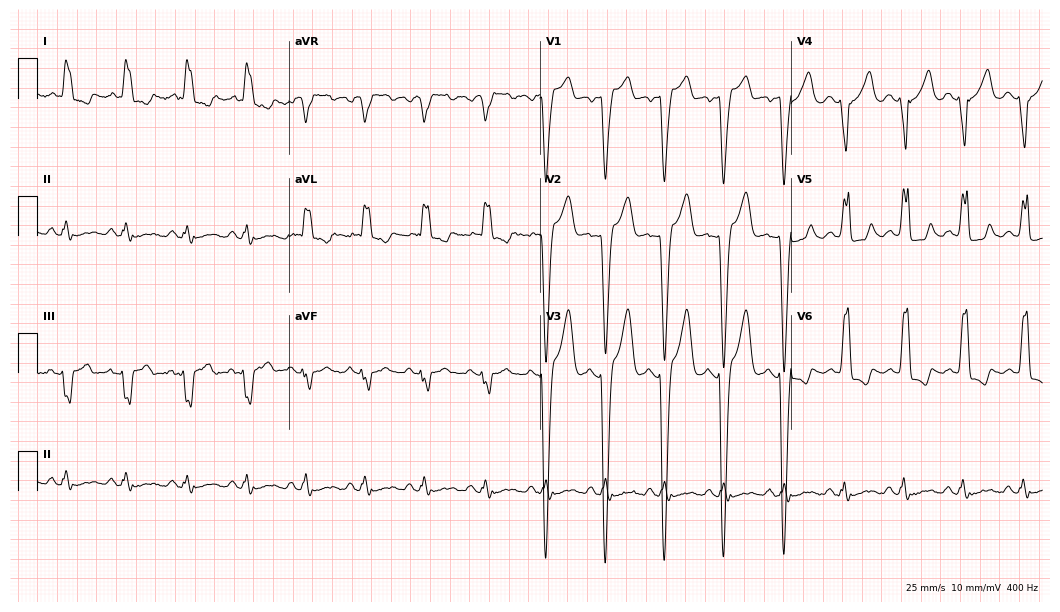
Resting 12-lead electrocardiogram (10.2-second recording at 400 Hz). Patient: a woman, 58 years old. The tracing shows left bundle branch block (LBBB).